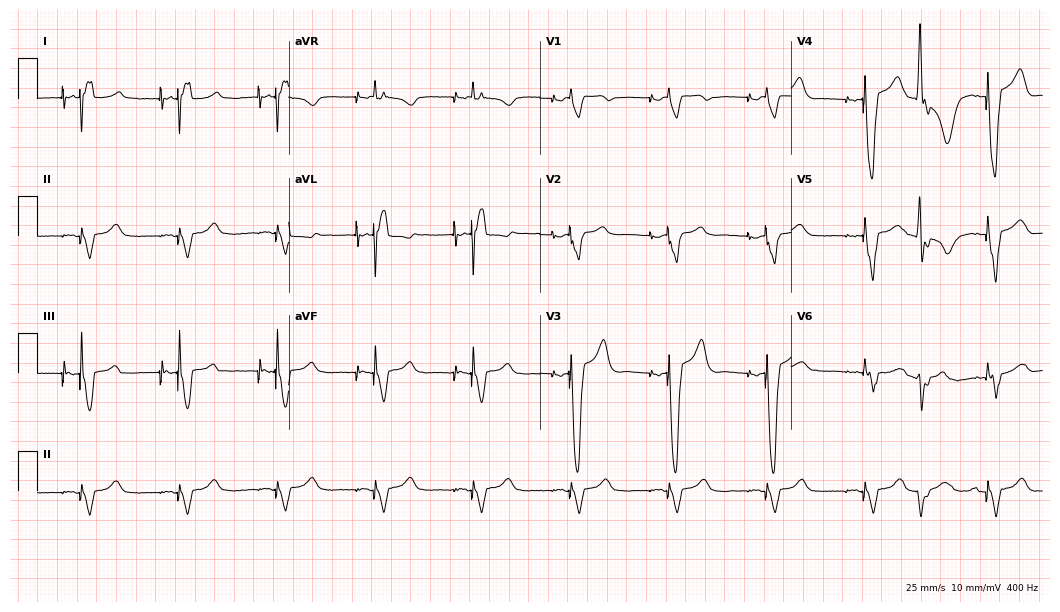
ECG (10.2-second recording at 400 Hz) — a male, 80 years old. Screened for six findings — first-degree AV block, right bundle branch block, left bundle branch block, sinus bradycardia, atrial fibrillation, sinus tachycardia — none is recorded. Only these six findings were labelled.